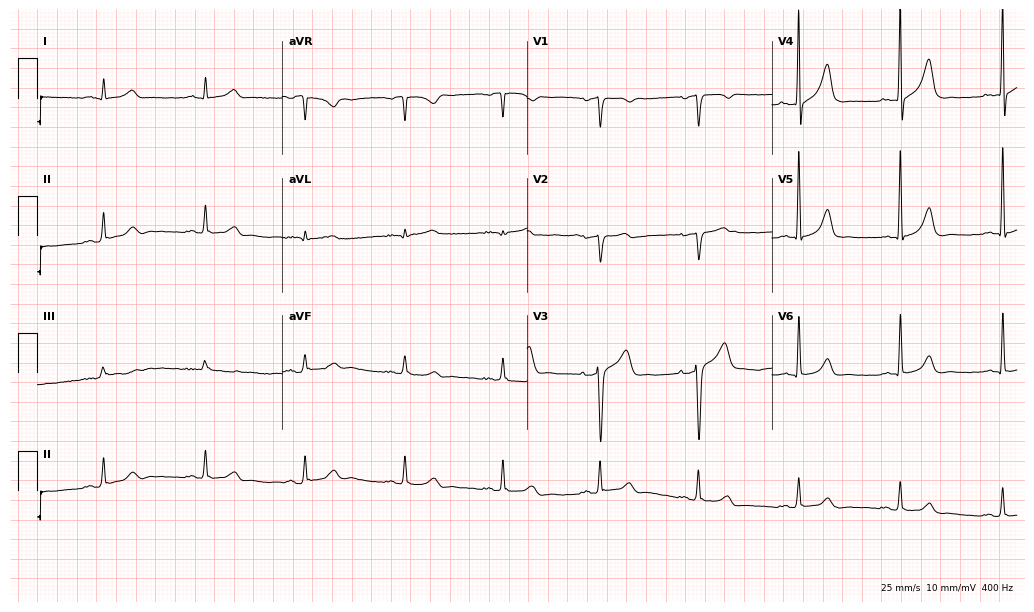
ECG (10-second recording at 400 Hz) — a 69-year-old male patient. Labelled as a normal ECG.